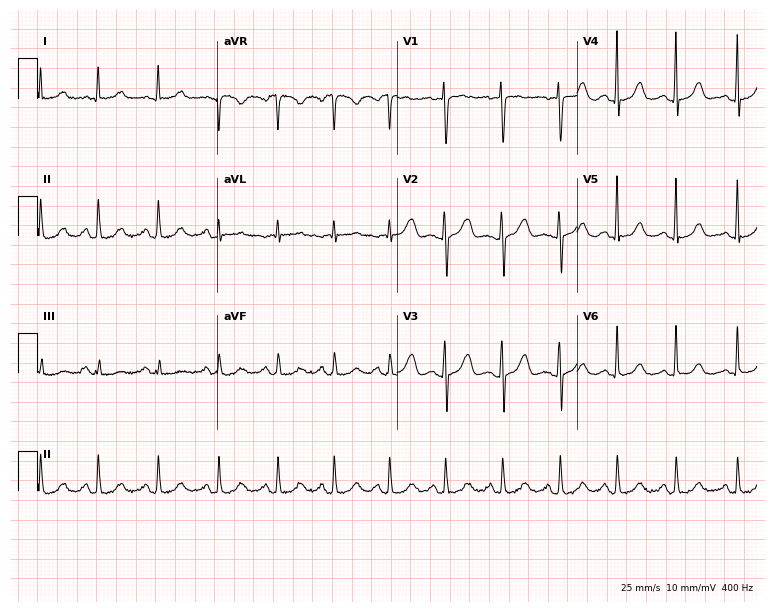
12-lead ECG (7.3-second recording at 400 Hz) from a 50-year-old female patient. Labelled as a normal ECG.